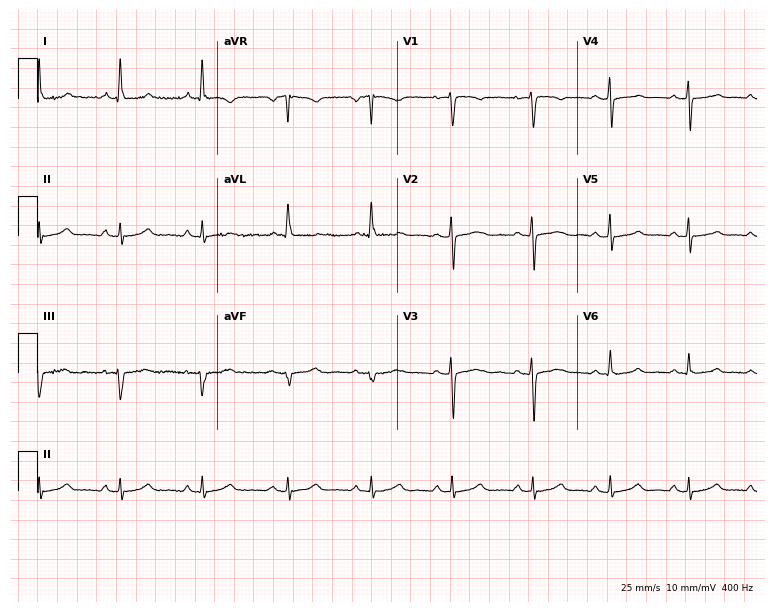
Standard 12-lead ECG recorded from a 37-year-old female patient (7.3-second recording at 400 Hz). None of these six findings is recorded: first-degree AV block, right bundle branch block (RBBB), left bundle branch block (LBBB), sinus bradycardia, atrial fibrillation (AF), sinus tachycardia. Other findings, if any, are not listed.